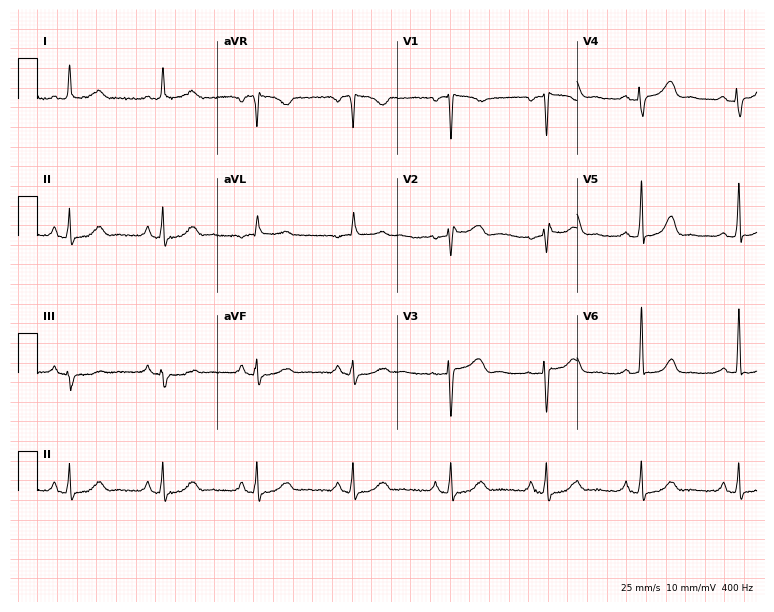
Electrocardiogram, a female, 66 years old. Overall reading on record: normal ECG.